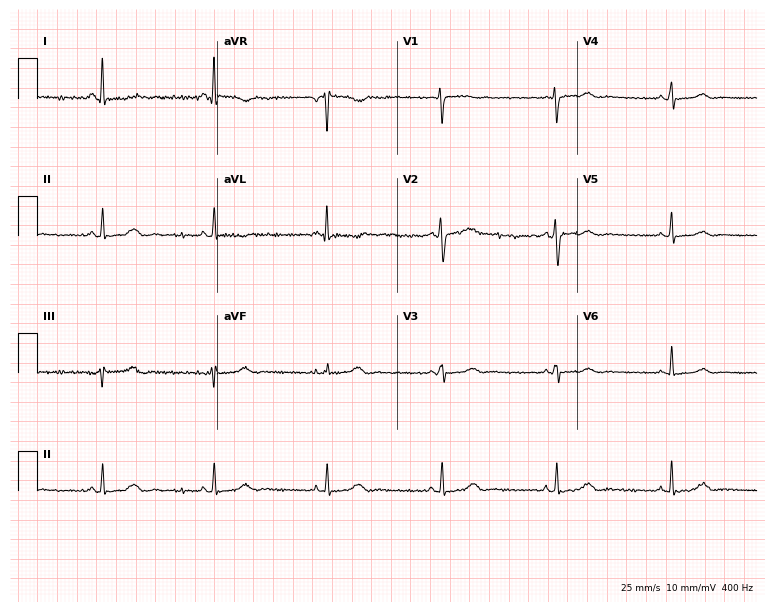
Resting 12-lead electrocardiogram. Patient: a 48-year-old female. None of these six findings is recorded: first-degree AV block, right bundle branch block, left bundle branch block, sinus bradycardia, atrial fibrillation, sinus tachycardia. Only these six findings were labelled.